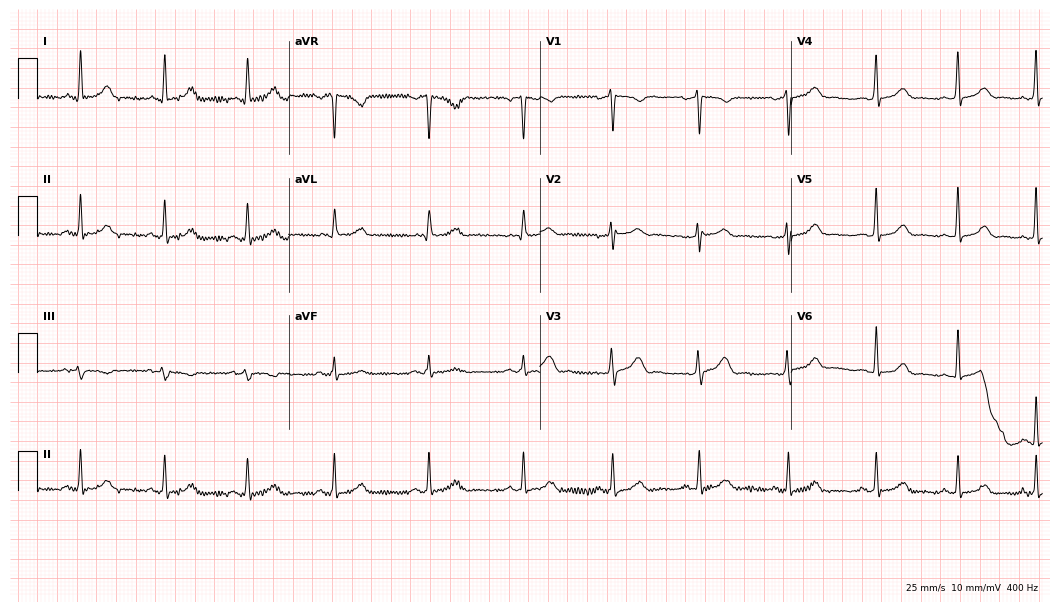
ECG — a 27-year-old female. Screened for six findings — first-degree AV block, right bundle branch block, left bundle branch block, sinus bradycardia, atrial fibrillation, sinus tachycardia — none is recorded. Only these six findings were labelled.